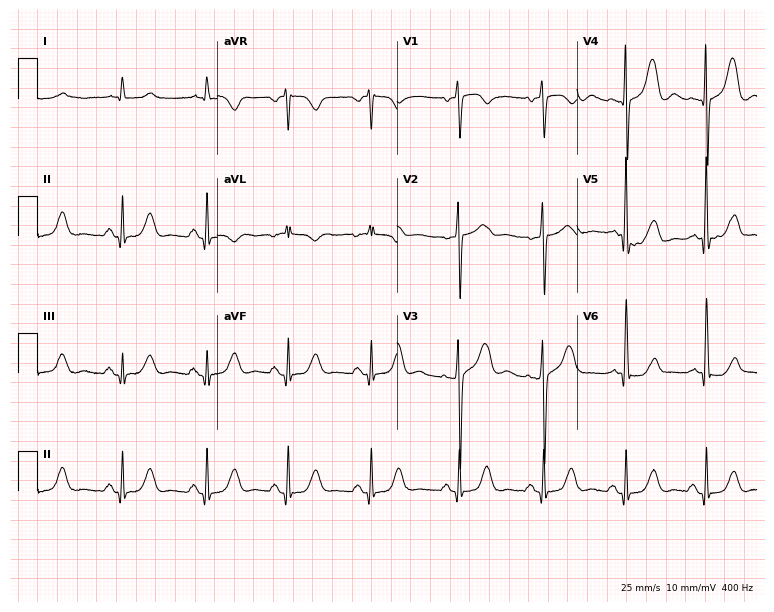
Electrocardiogram, a 73-year-old woman. Of the six screened findings (first-degree AV block, right bundle branch block (RBBB), left bundle branch block (LBBB), sinus bradycardia, atrial fibrillation (AF), sinus tachycardia), none is recorded. Only these six findings were labelled.